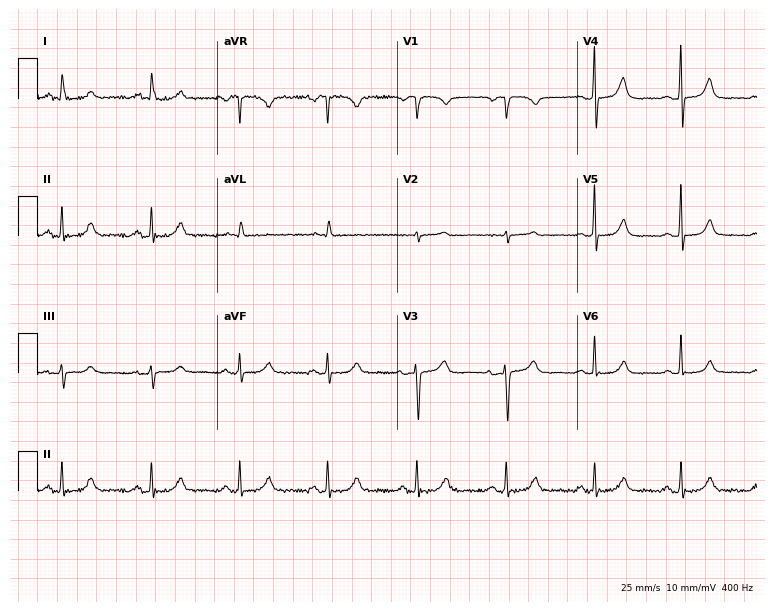
Standard 12-lead ECG recorded from a female, 79 years old. Read as a normal ECG.